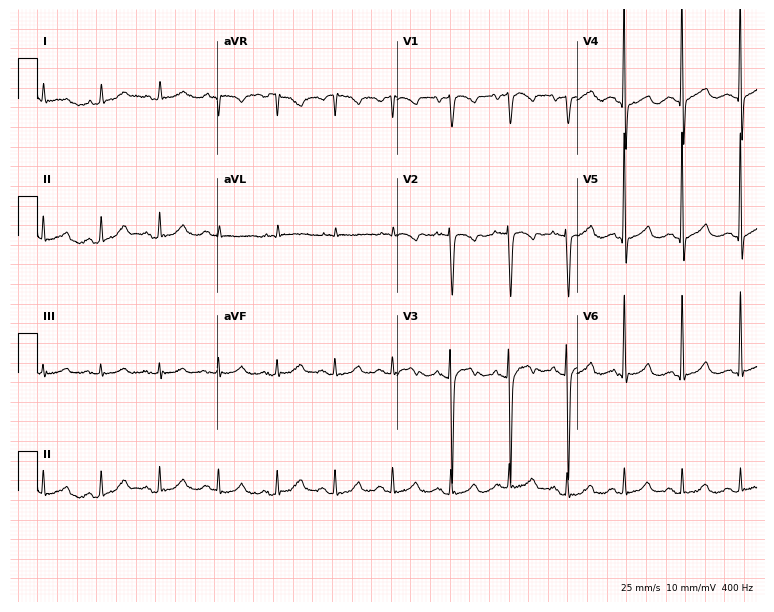
Electrocardiogram, an 80-year-old female patient. Interpretation includes sinus tachycardia (a sinus rate of 100 beats per minute or more).